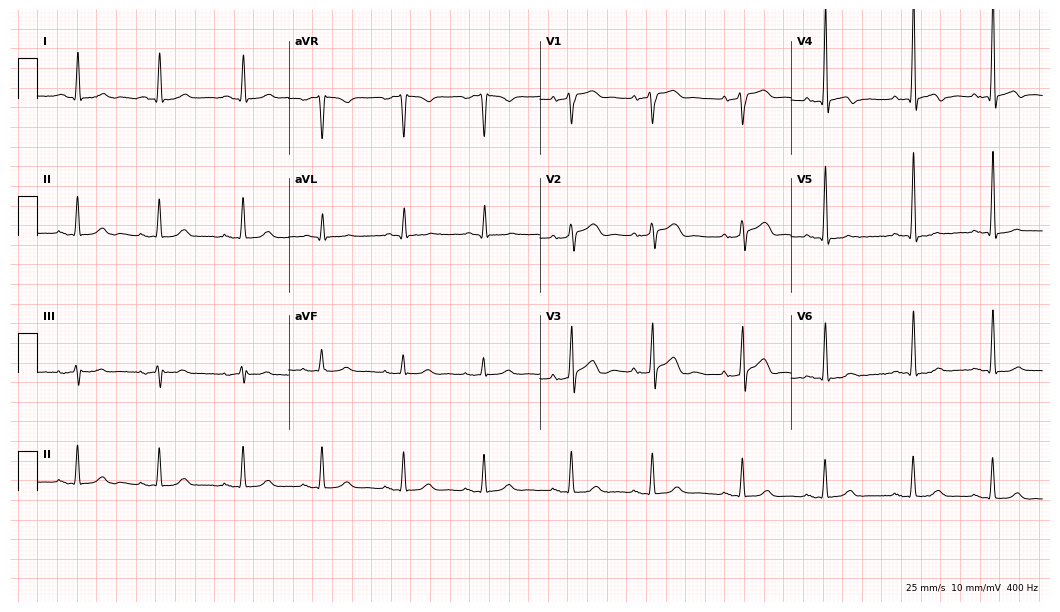
Electrocardiogram (10.2-second recording at 400 Hz), a male patient, 82 years old. Overall reading on record: normal ECG.